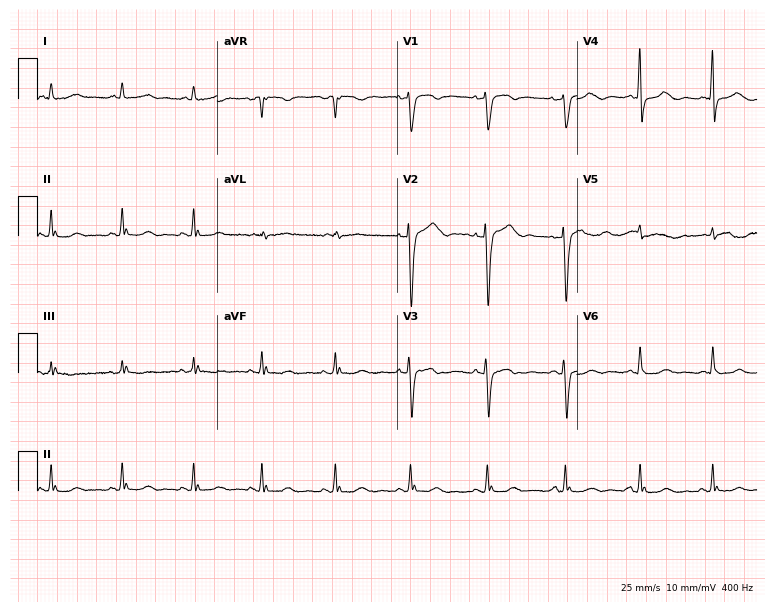
Resting 12-lead electrocardiogram (7.3-second recording at 400 Hz). Patient: a 73-year-old woman. None of these six findings is recorded: first-degree AV block, right bundle branch block, left bundle branch block, sinus bradycardia, atrial fibrillation, sinus tachycardia. Findings outside these six are not listed.